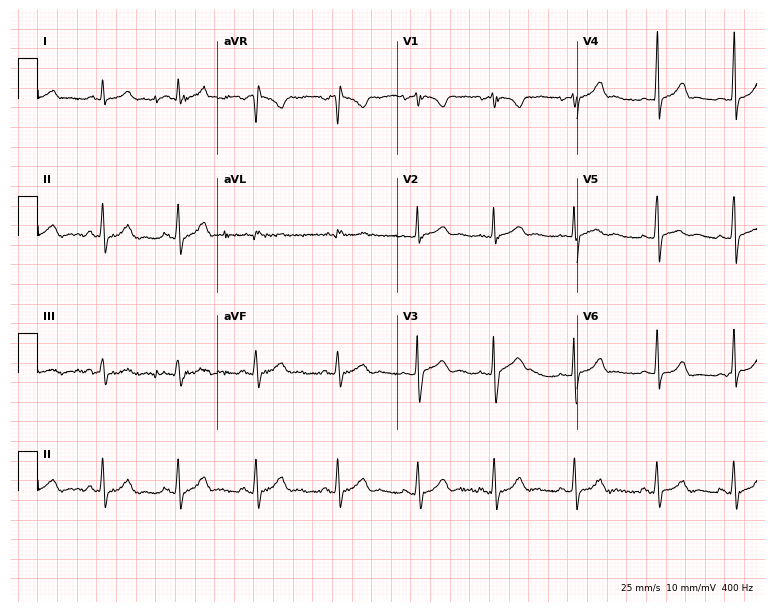
12-lead ECG from a 20-year-old woman. Recorded interpretation: within normal limits.